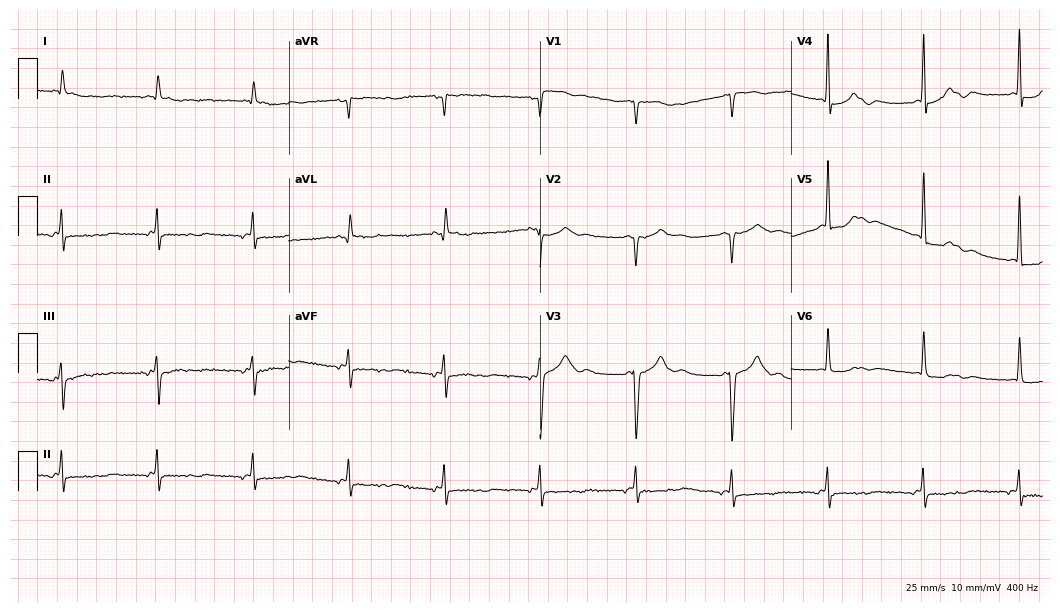
Electrocardiogram, a female, 75 years old. Overall reading on record: normal ECG.